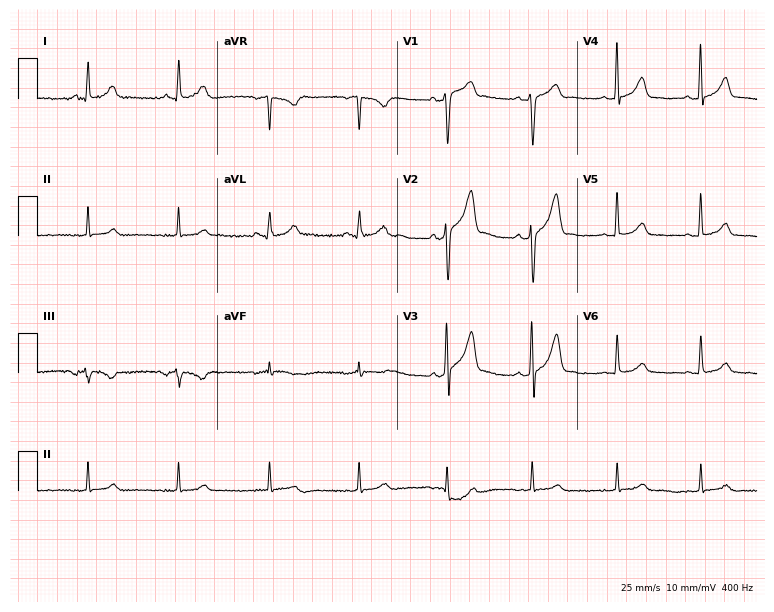
12-lead ECG (7.3-second recording at 400 Hz) from a male, 52 years old. Labelled as a normal ECG.